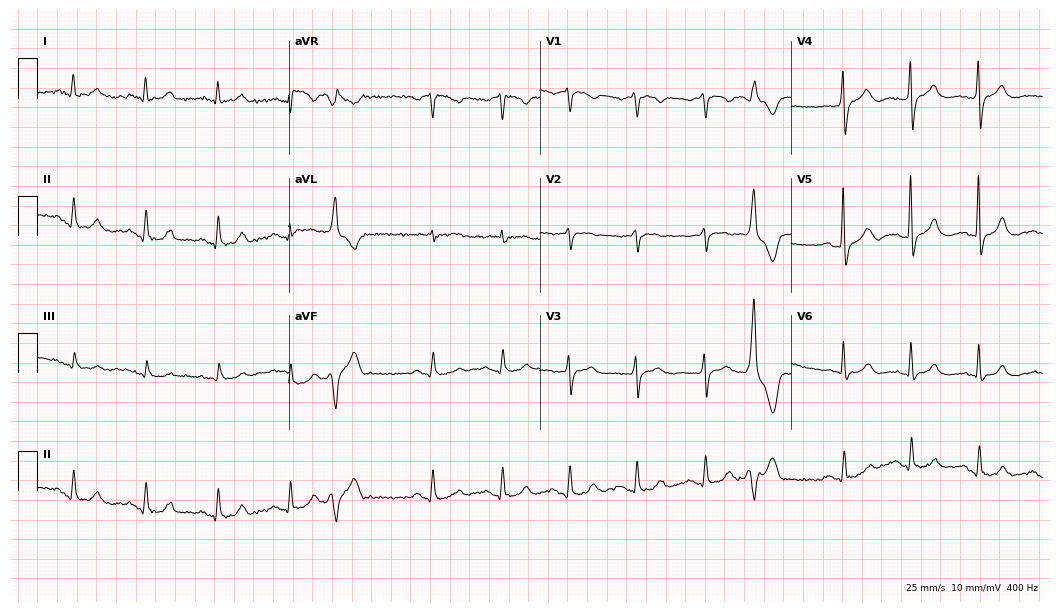
Standard 12-lead ECG recorded from a 70-year-old male patient (10.2-second recording at 400 Hz). None of these six findings is recorded: first-degree AV block, right bundle branch block (RBBB), left bundle branch block (LBBB), sinus bradycardia, atrial fibrillation (AF), sinus tachycardia. Findings outside these six are not listed.